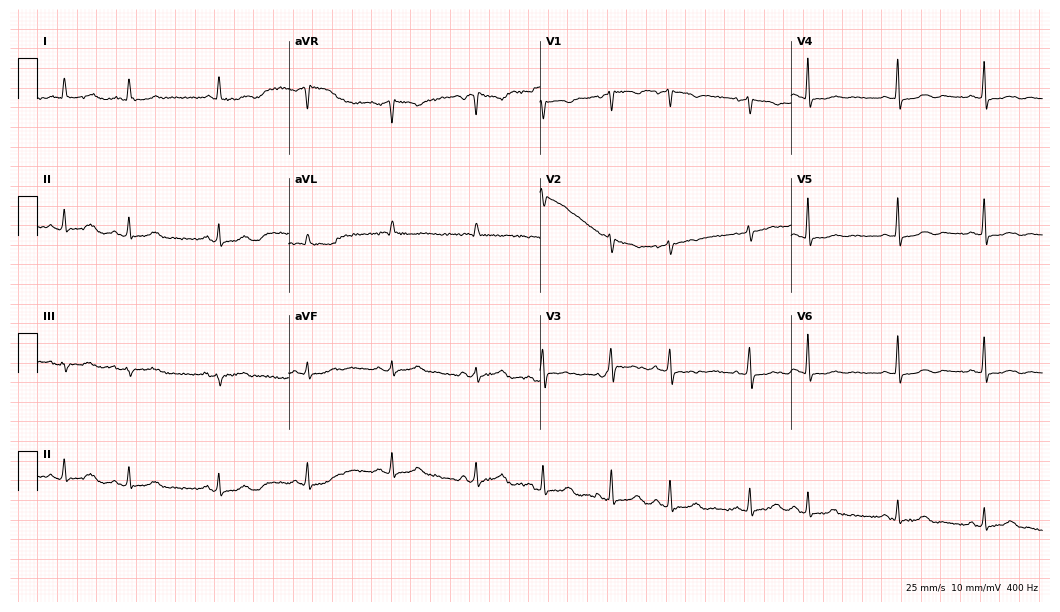
12-lead ECG (10.2-second recording at 400 Hz) from an 81-year-old female patient. Screened for six findings — first-degree AV block, right bundle branch block, left bundle branch block, sinus bradycardia, atrial fibrillation, sinus tachycardia — none is recorded.